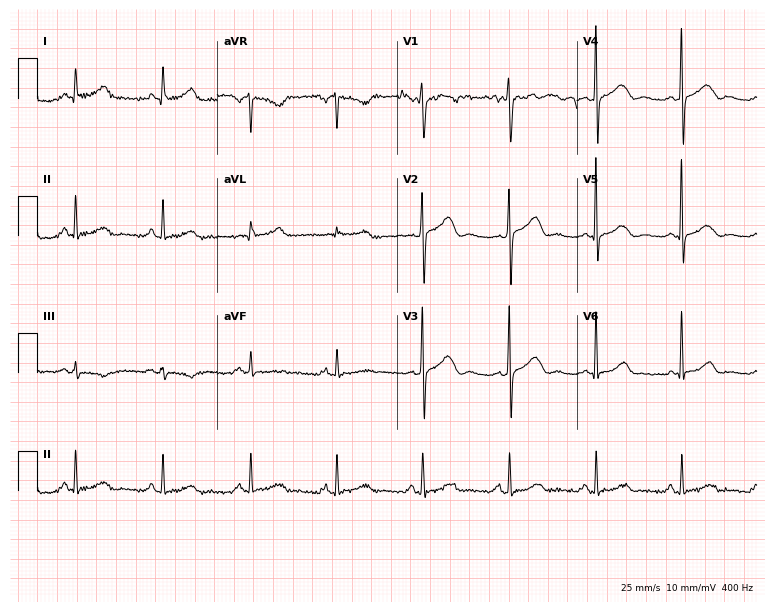
12-lead ECG from a 65-year-old female (7.3-second recording at 400 Hz). Recorded interpretation: within normal limits.